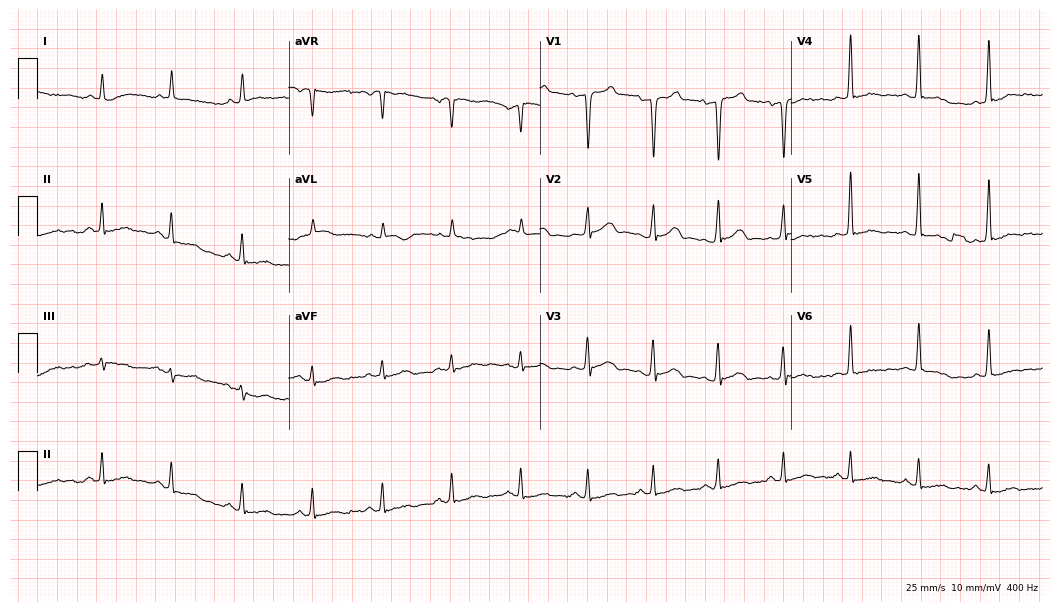
12-lead ECG from a man, 51 years old (10.2-second recording at 400 Hz). No first-degree AV block, right bundle branch block, left bundle branch block, sinus bradycardia, atrial fibrillation or sinus tachycardia recorded for this tracing.